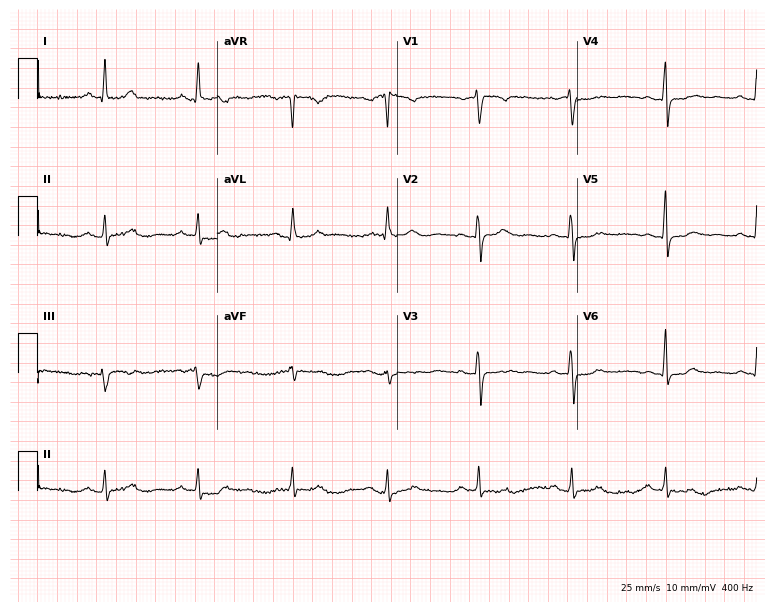
Standard 12-lead ECG recorded from a 64-year-old woman (7.3-second recording at 400 Hz). Read as a normal ECG.